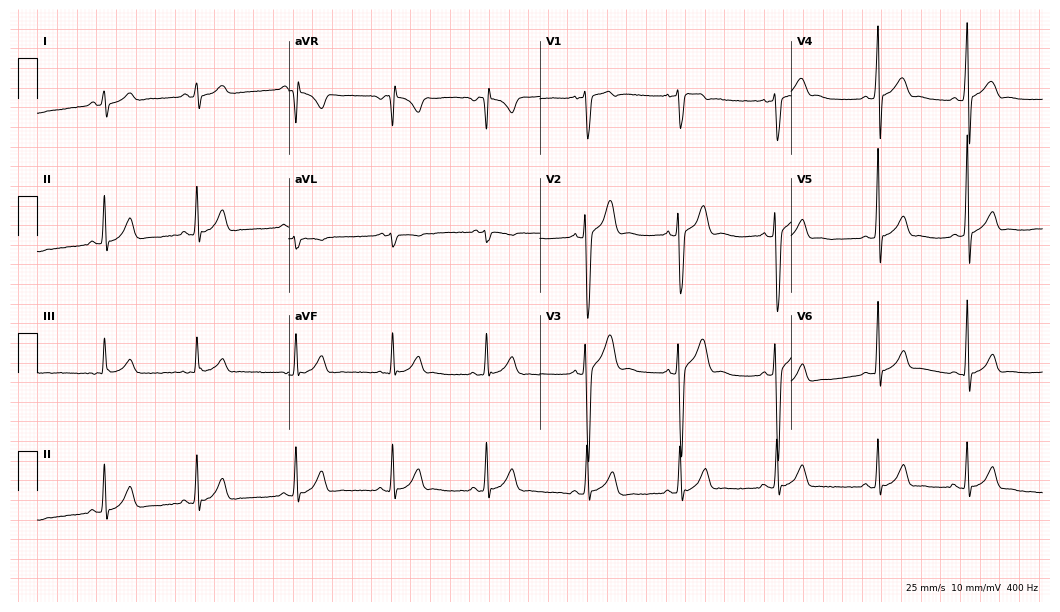
ECG — a male patient, 17 years old. Screened for six findings — first-degree AV block, right bundle branch block, left bundle branch block, sinus bradycardia, atrial fibrillation, sinus tachycardia — none is recorded.